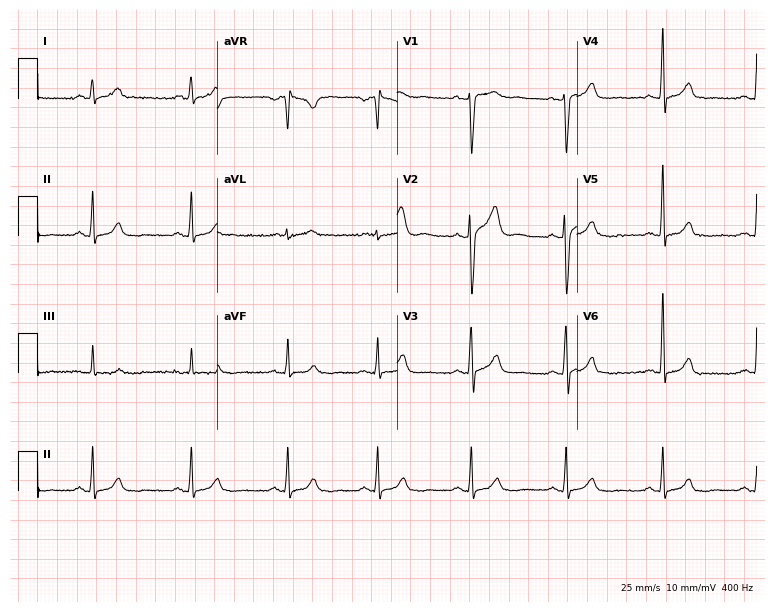
Electrocardiogram (7.3-second recording at 400 Hz), a 40-year-old male patient. Overall reading on record: normal ECG.